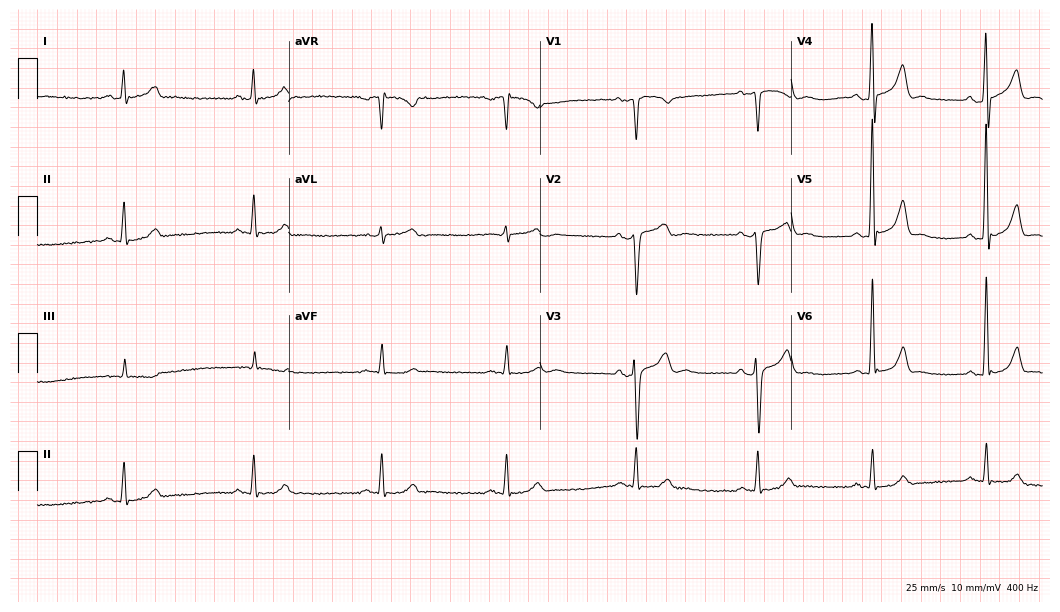
Resting 12-lead electrocardiogram. Patient: a 47-year-old male. The tracing shows sinus bradycardia (a sinus rate of 50 beats per minute or less).